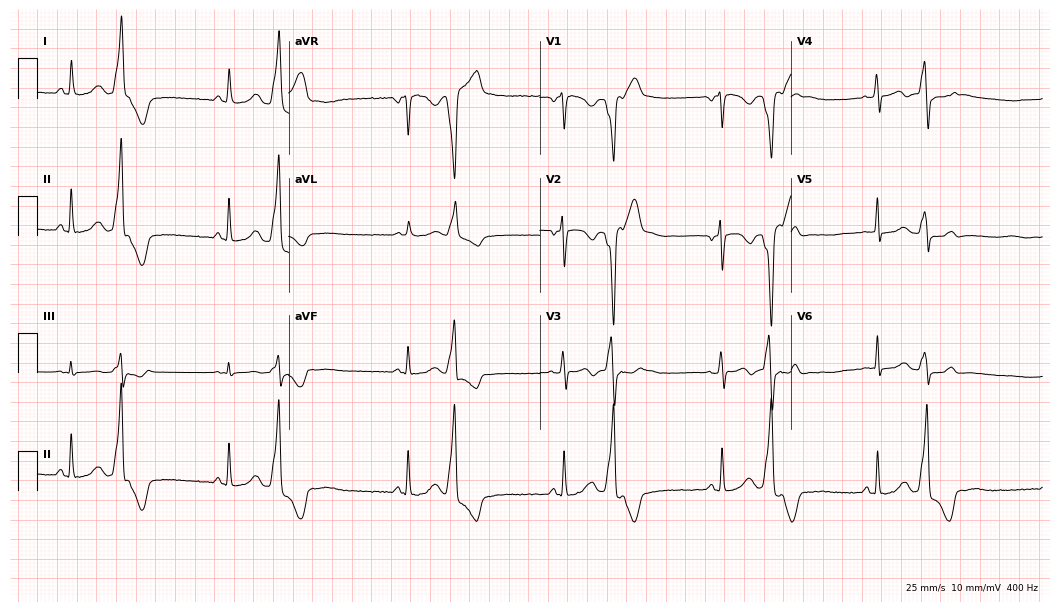
Resting 12-lead electrocardiogram (10.2-second recording at 400 Hz). Patient: a 37-year-old female. None of these six findings is recorded: first-degree AV block, right bundle branch block (RBBB), left bundle branch block (LBBB), sinus bradycardia, atrial fibrillation (AF), sinus tachycardia.